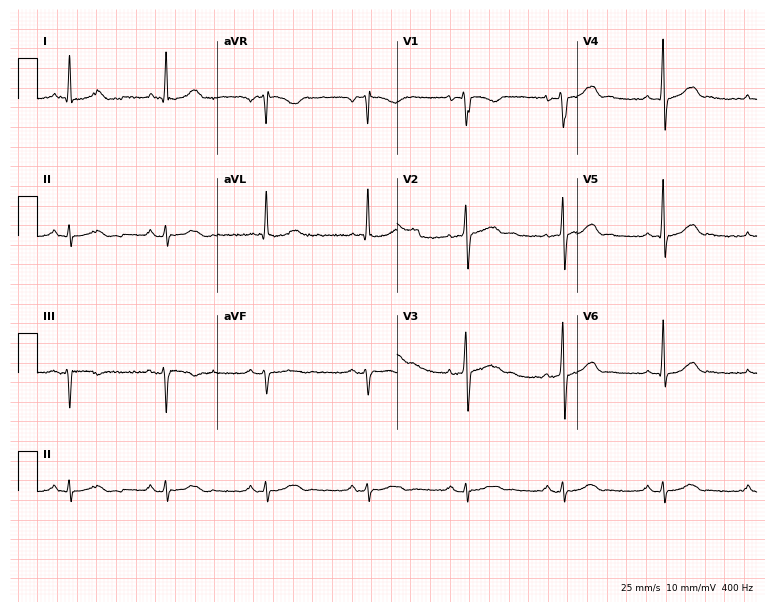
12-lead ECG from a 62-year-old man. Labelled as a normal ECG.